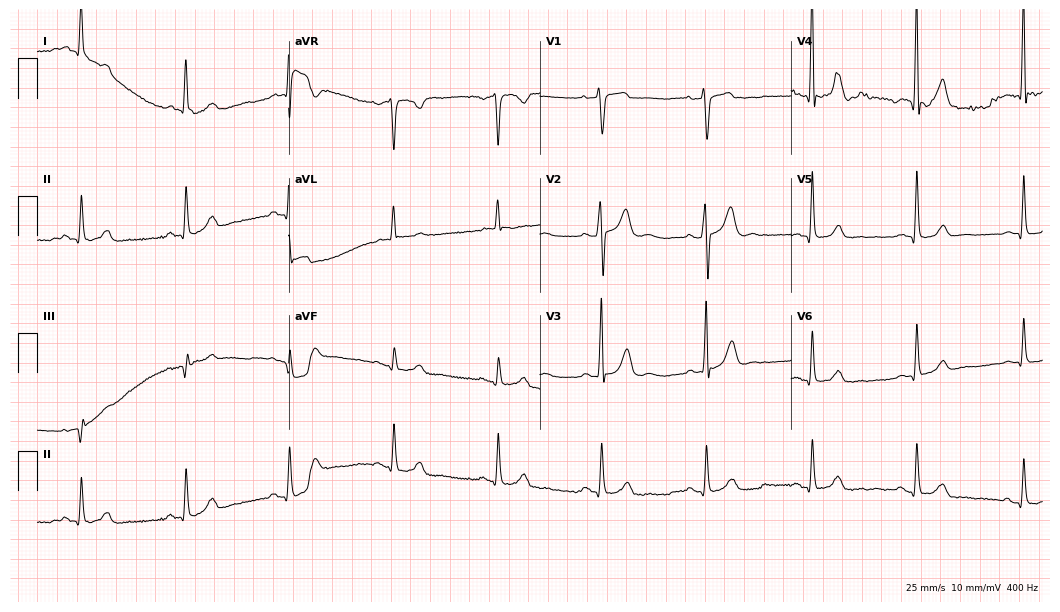
Resting 12-lead electrocardiogram (10.2-second recording at 400 Hz). Patient: a man, 67 years old. Read as a normal ECG.